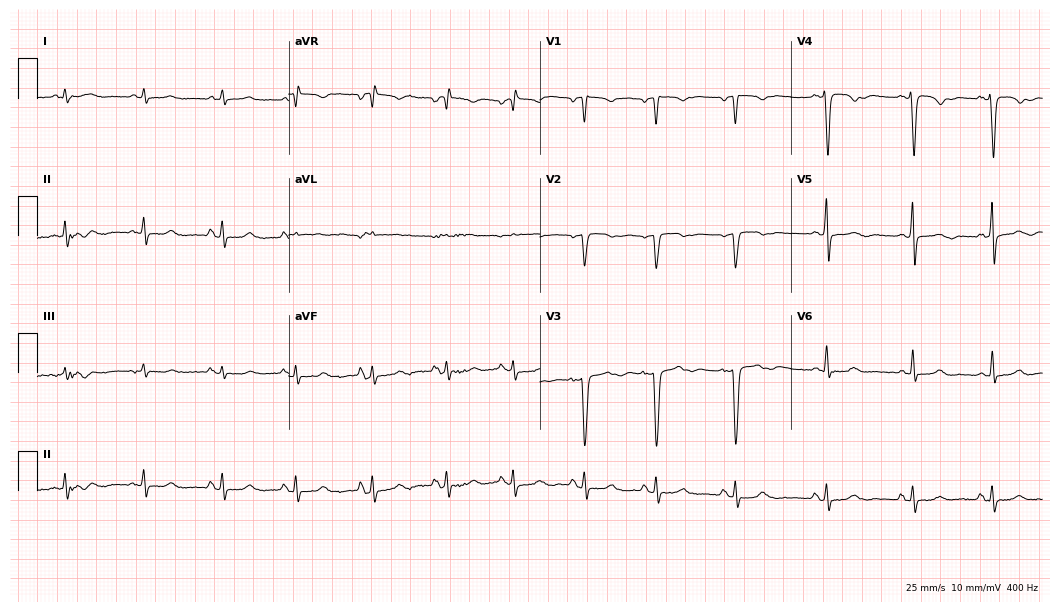
ECG — a female patient, 51 years old. Screened for six findings — first-degree AV block, right bundle branch block, left bundle branch block, sinus bradycardia, atrial fibrillation, sinus tachycardia — none is recorded.